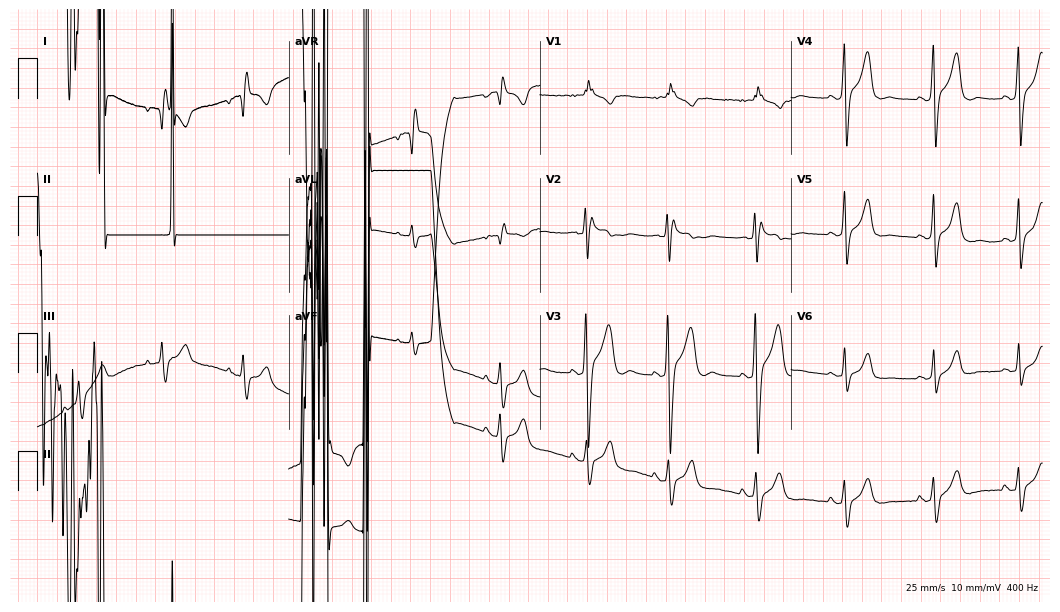
12-lead ECG from a 26-year-old man. No first-degree AV block, right bundle branch block, left bundle branch block, sinus bradycardia, atrial fibrillation or sinus tachycardia recorded for this tracing.